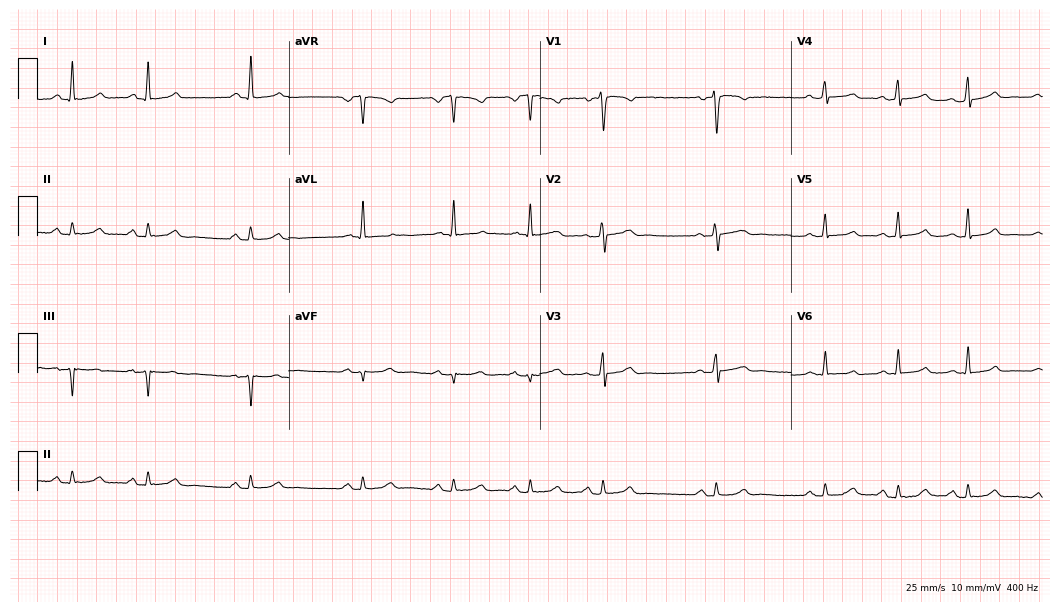
ECG — a woman, 34 years old. Labelled as a normal ECG.